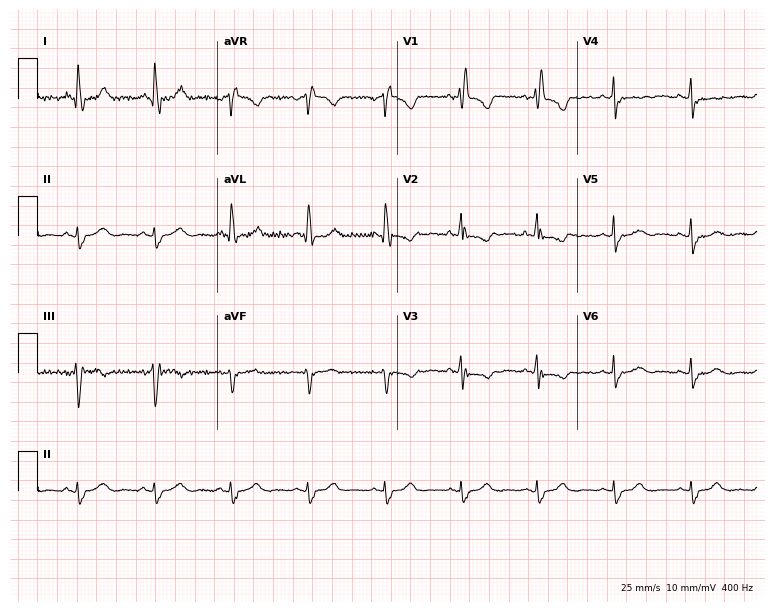
12-lead ECG from a 67-year-old female. No first-degree AV block, right bundle branch block, left bundle branch block, sinus bradycardia, atrial fibrillation or sinus tachycardia recorded for this tracing. Other findings, if any, are not listed.